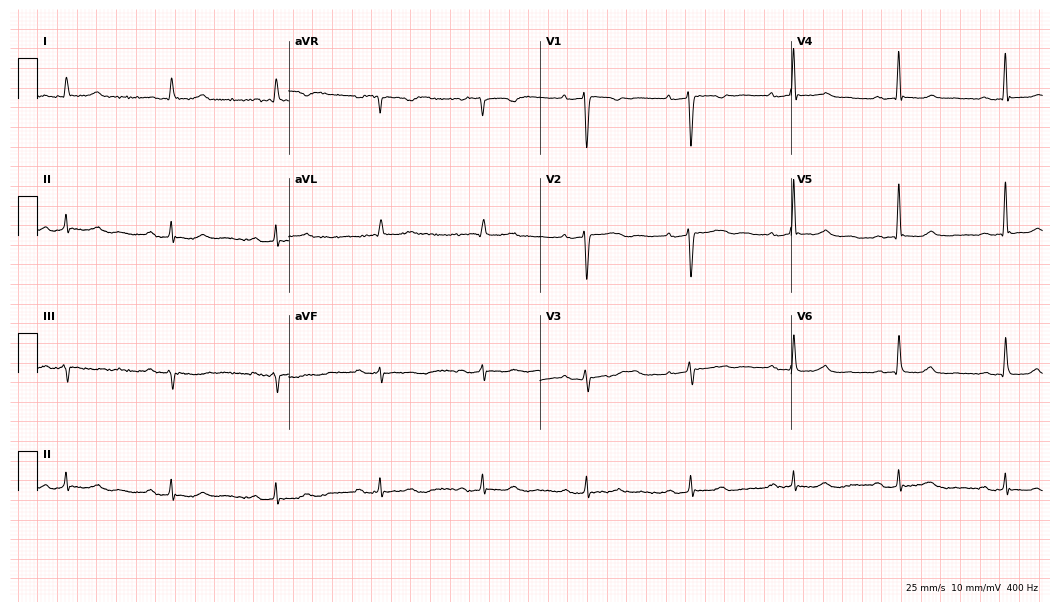
Resting 12-lead electrocardiogram (10.2-second recording at 400 Hz). Patient: a 57-year-old female. Read as a normal ECG.